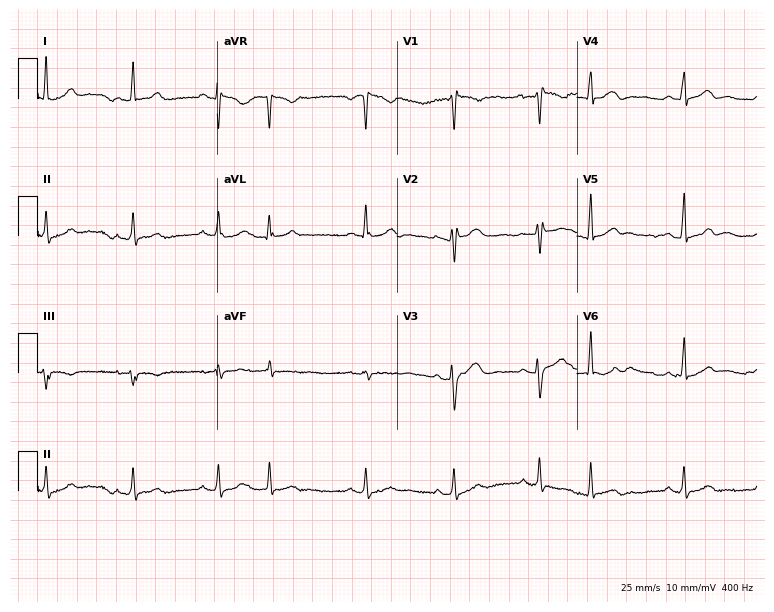
Electrocardiogram, a female, 39 years old. Of the six screened findings (first-degree AV block, right bundle branch block (RBBB), left bundle branch block (LBBB), sinus bradycardia, atrial fibrillation (AF), sinus tachycardia), none is recorded. Findings outside these six are not listed.